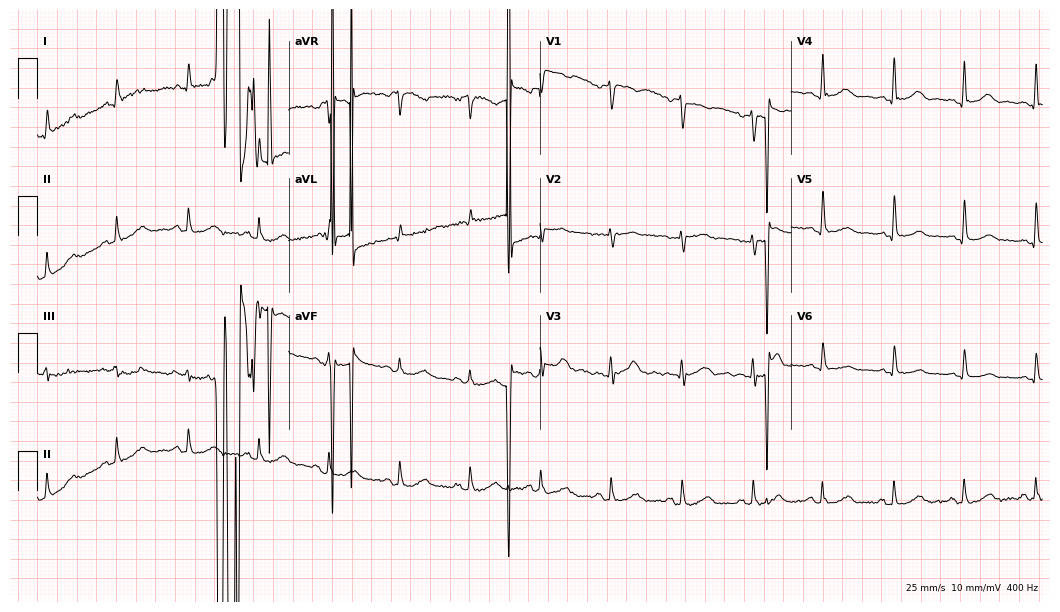
ECG — a male, 80 years old. Screened for six findings — first-degree AV block, right bundle branch block, left bundle branch block, sinus bradycardia, atrial fibrillation, sinus tachycardia — none is recorded. Other findings, if any, are not listed.